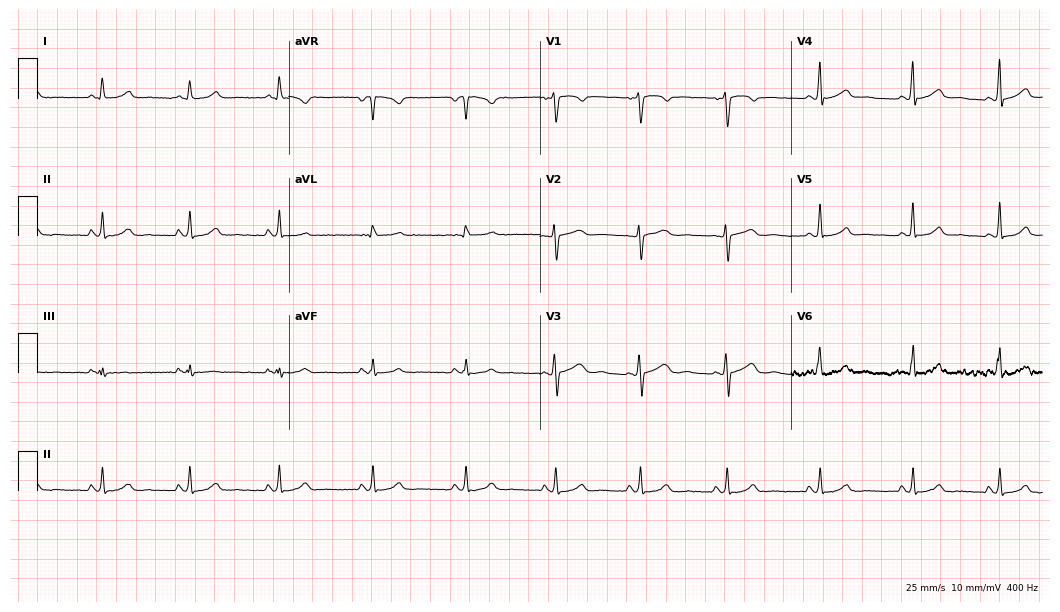
ECG — a female, 31 years old. Labelled as a normal ECG.